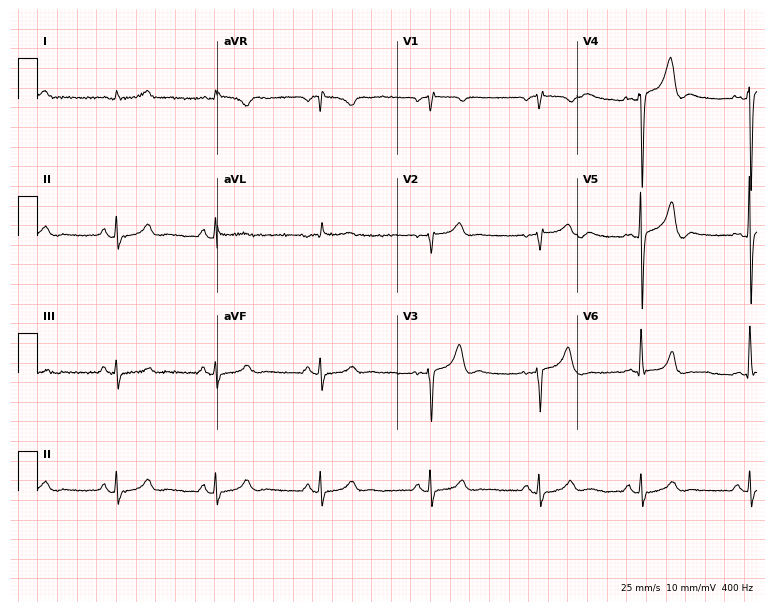
12-lead ECG from a male patient, 57 years old. No first-degree AV block, right bundle branch block (RBBB), left bundle branch block (LBBB), sinus bradycardia, atrial fibrillation (AF) or sinus tachycardia recorded for this tracing.